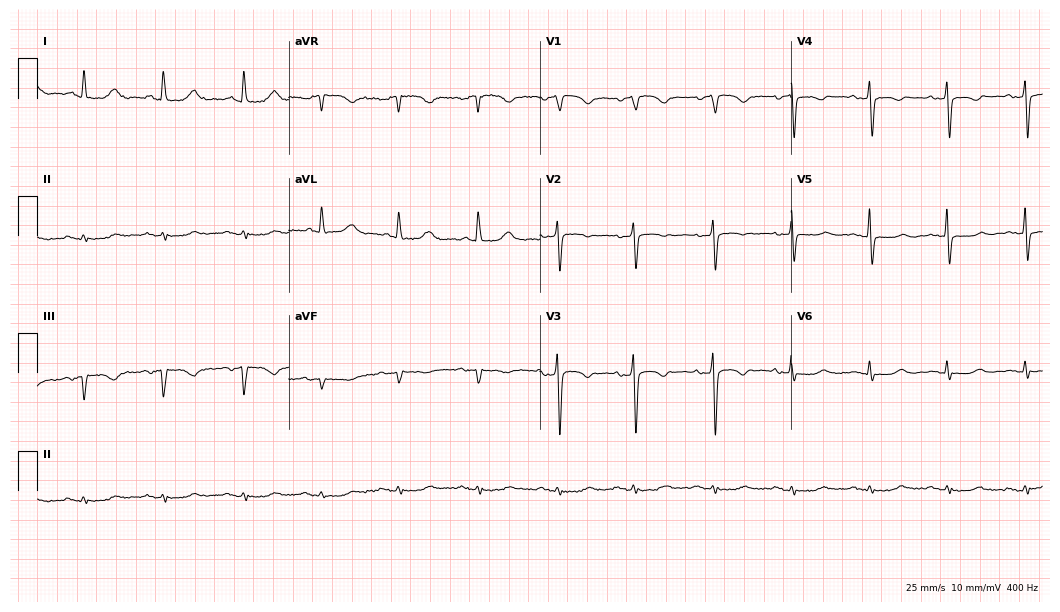
12-lead ECG from a 79-year-old woman (10.2-second recording at 400 Hz). No first-degree AV block, right bundle branch block, left bundle branch block, sinus bradycardia, atrial fibrillation or sinus tachycardia recorded for this tracing. Other findings, if any, are not listed.